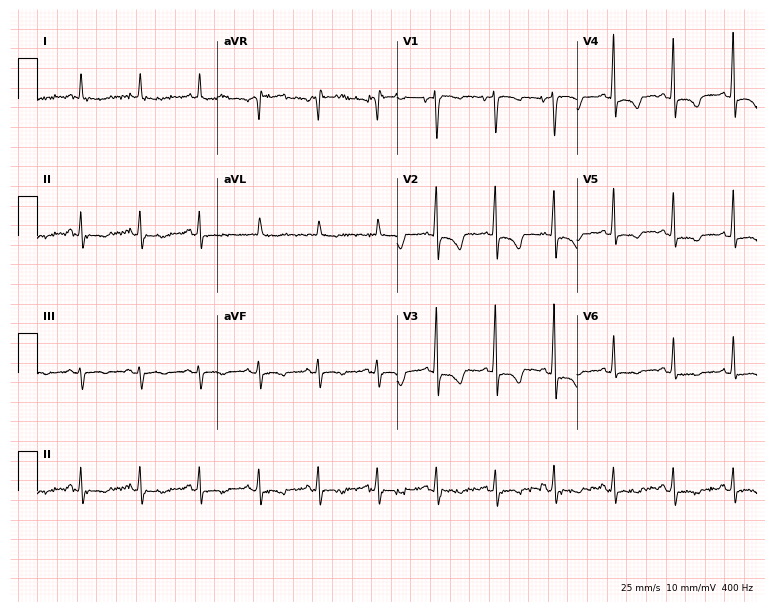
ECG (7.3-second recording at 400 Hz) — a woman, 85 years old. Screened for six findings — first-degree AV block, right bundle branch block, left bundle branch block, sinus bradycardia, atrial fibrillation, sinus tachycardia — none is recorded. Other findings, if any, are not listed.